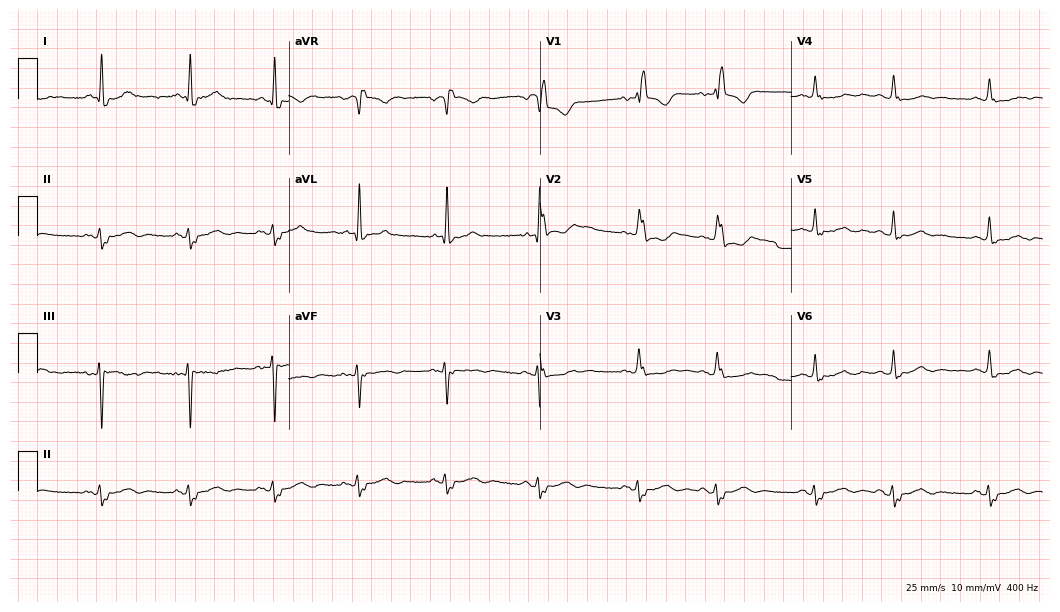
ECG — an 86-year-old woman. Findings include right bundle branch block (RBBB).